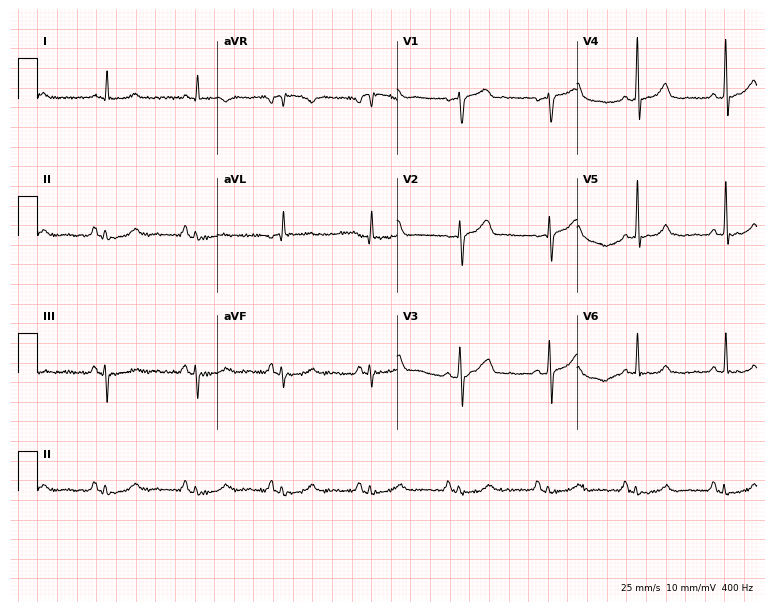
12-lead ECG (7.3-second recording at 400 Hz) from a 65-year-old male. Screened for six findings — first-degree AV block, right bundle branch block (RBBB), left bundle branch block (LBBB), sinus bradycardia, atrial fibrillation (AF), sinus tachycardia — none is recorded. Only these six findings were labelled.